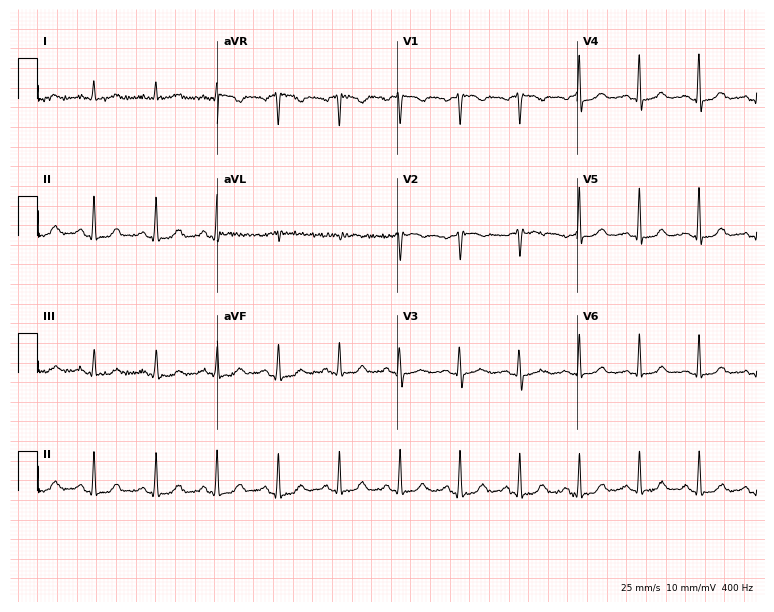
12-lead ECG from a female patient, 67 years old. Recorded interpretation: within normal limits.